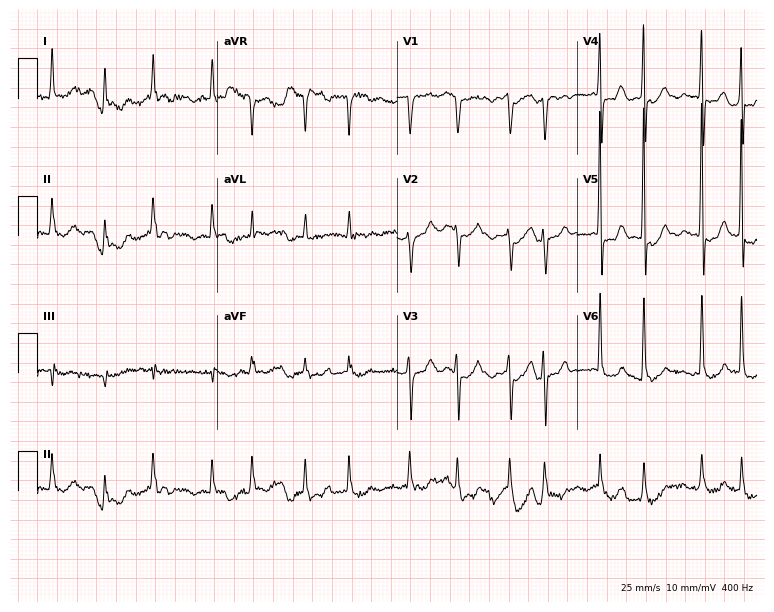
Resting 12-lead electrocardiogram (7.3-second recording at 400 Hz). Patient: a woman, 83 years old. The tracing shows atrial fibrillation.